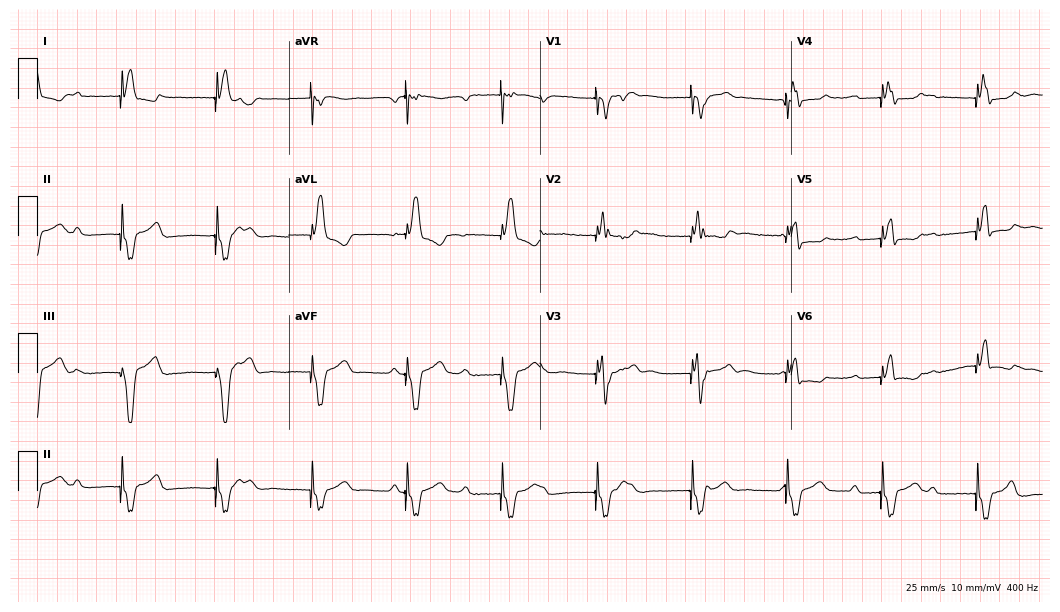
Electrocardiogram (10.2-second recording at 400 Hz), a female patient, 80 years old. Of the six screened findings (first-degree AV block, right bundle branch block, left bundle branch block, sinus bradycardia, atrial fibrillation, sinus tachycardia), none is recorded.